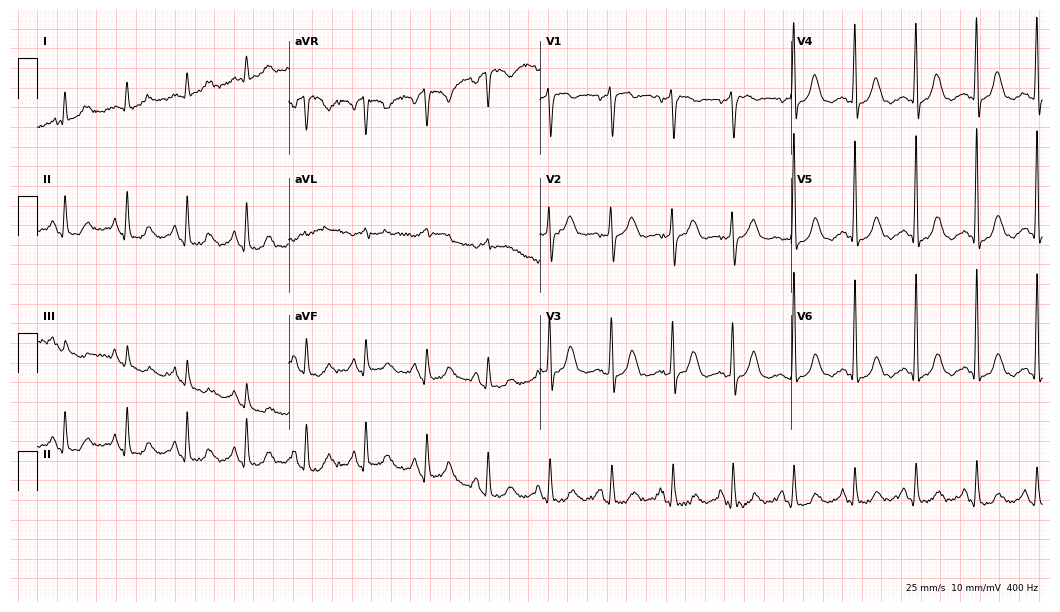
Resting 12-lead electrocardiogram. Patient: a female, 72 years old. Read as a normal ECG.